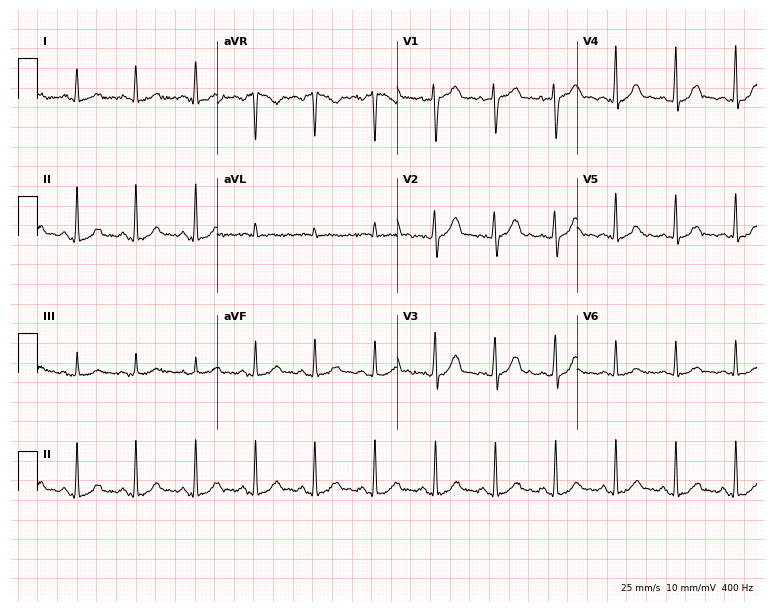
Electrocardiogram, a female patient, 45 years old. Of the six screened findings (first-degree AV block, right bundle branch block, left bundle branch block, sinus bradycardia, atrial fibrillation, sinus tachycardia), none is recorded.